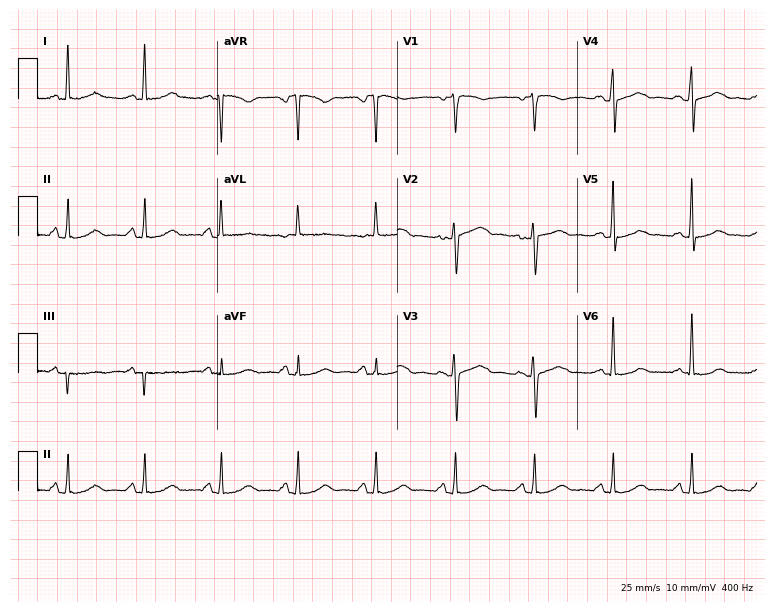
12-lead ECG (7.3-second recording at 400 Hz) from a woman, 62 years old. Labelled as a normal ECG.